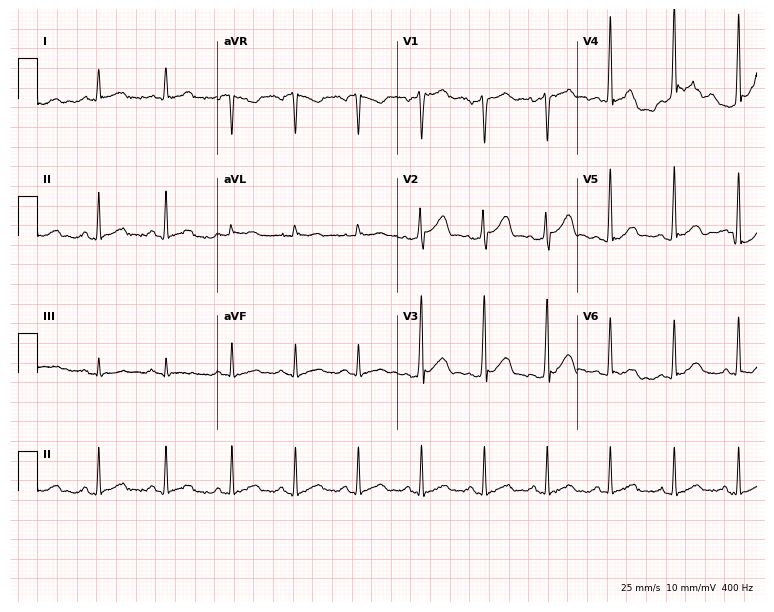
12-lead ECG from a 63-year-old male patient (7.3-second recording at 400 Hz). Recorded interpretation: within normal limits.